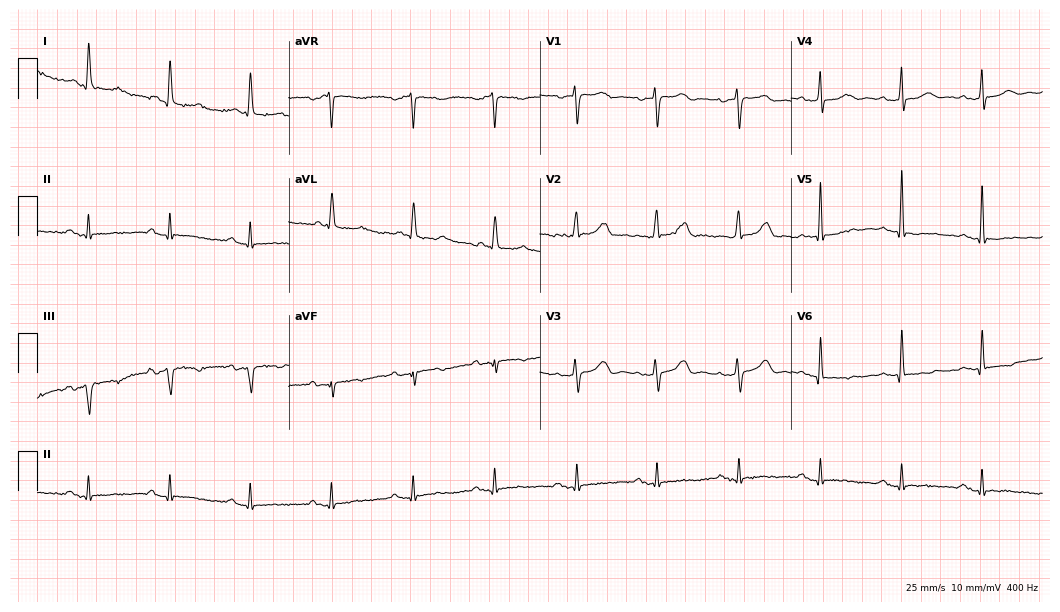
ECG — a woman, 68 years old. Screened for six findings — first-degree AV block, right bundle branch block (RBBB), left bundle branch block (LBBB), sinus bradycardia, atrial fibrillation (AF), sinus tachycardia — none is recorded.